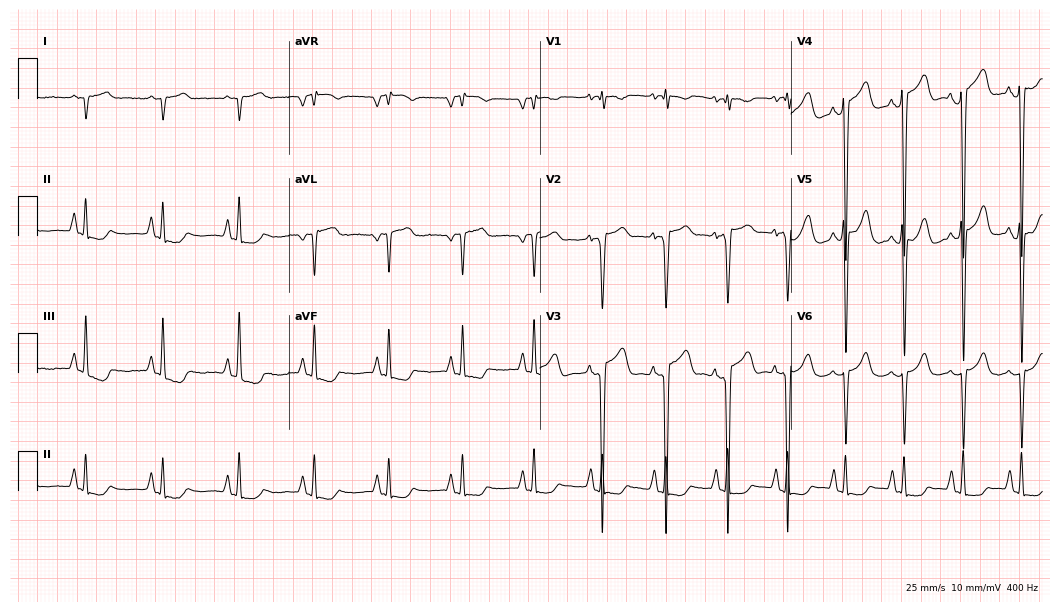
Resting 12-lead electrocardiogram (10.2-second recording at 400 Hz). Patient: a 47-year-old female. None of these six findings is recorded: first-degree AV block, right bundle branch block, left bundle branch block, sinus bradycardia, atrial fibrillation, sinus tachycardia. Findings outside these six are not listed.